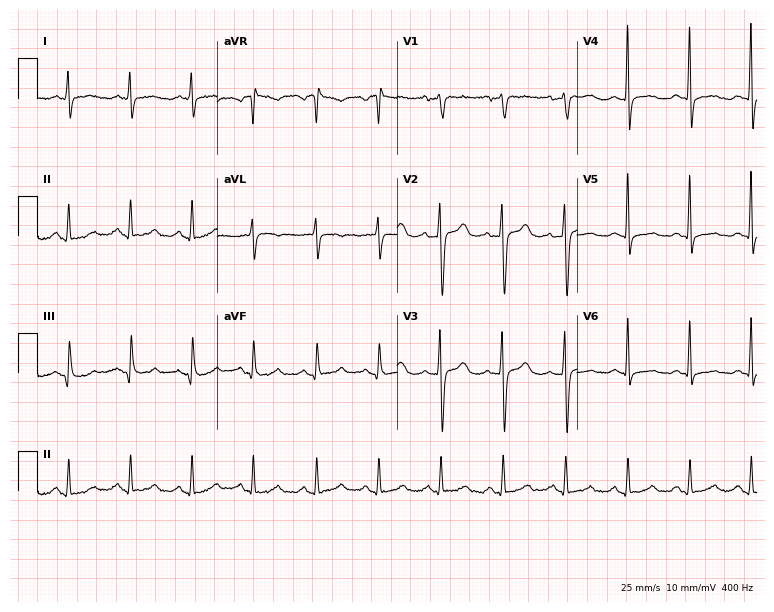
ECG (7.3-second recording at 400 Hz) — a female, 59 years old. Labelled as a normal ECG.